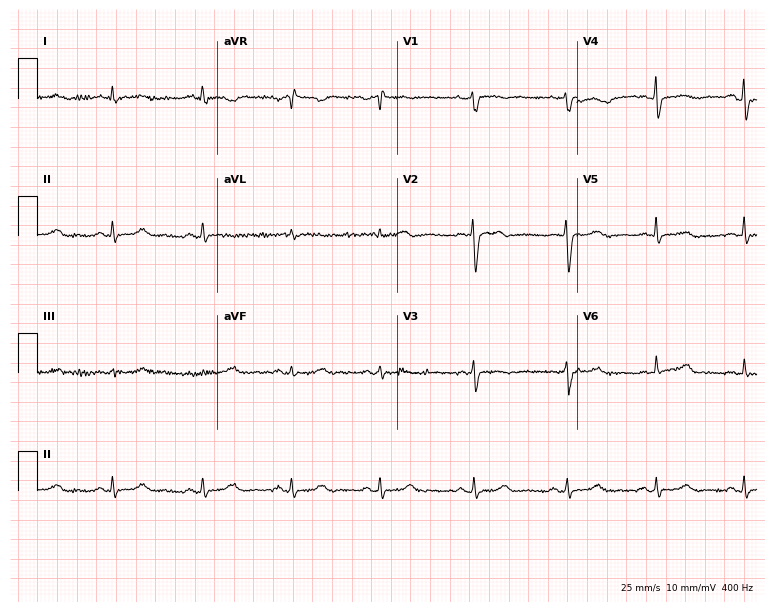
Electrocardiogram, a female patient, 34 years old. Of the six screened findings (first-degree AV block, right bundle branch block, left bundle branch block, sinus bradycardia, atrial fibrillation, sinus tachycardia), none is recorded.